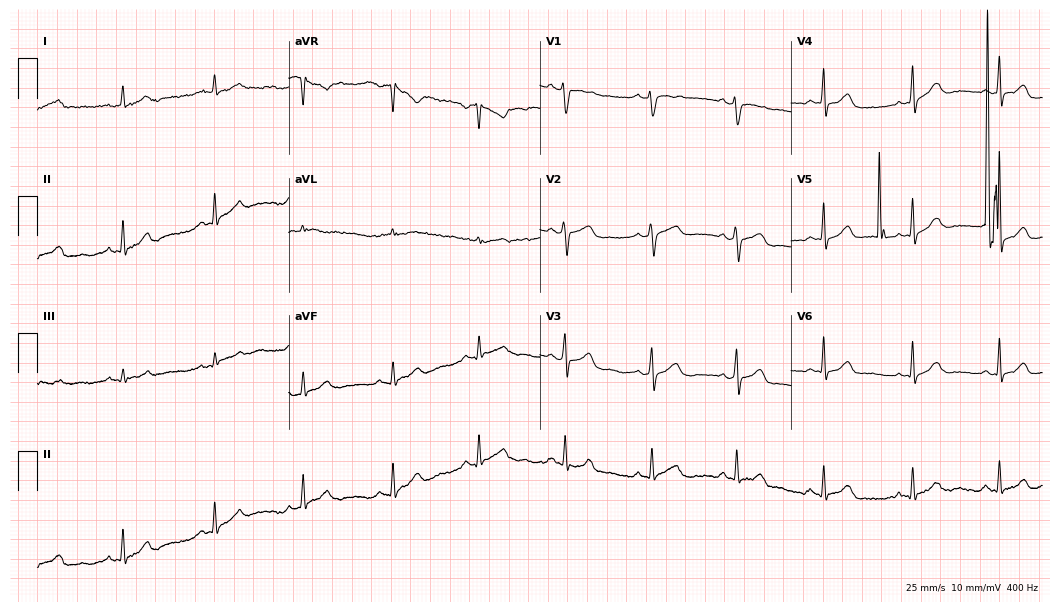
Resting 12-lead electrocardiogram. Patient: a woman, 43 years old. Read as a normal ECG.